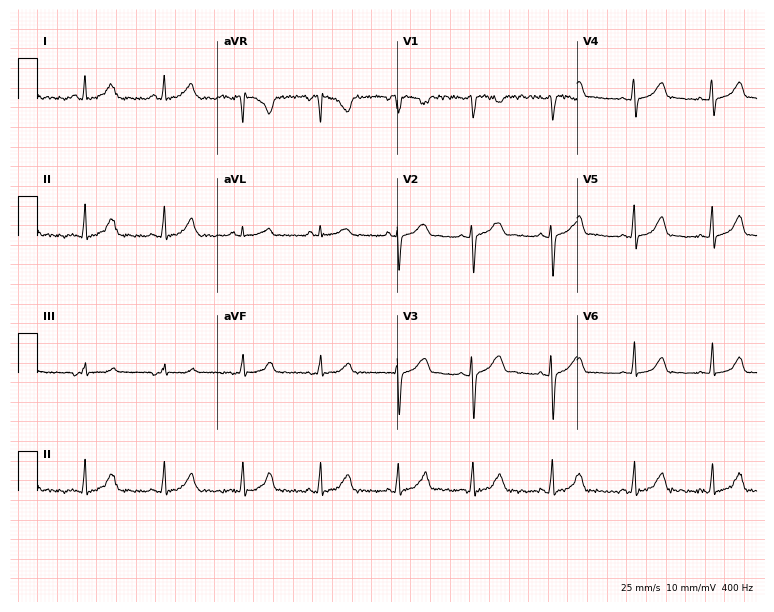
ECG (7.3-second recording at 400 Hz) — a female patient, 23 years old. Labelled as a normal ECG.